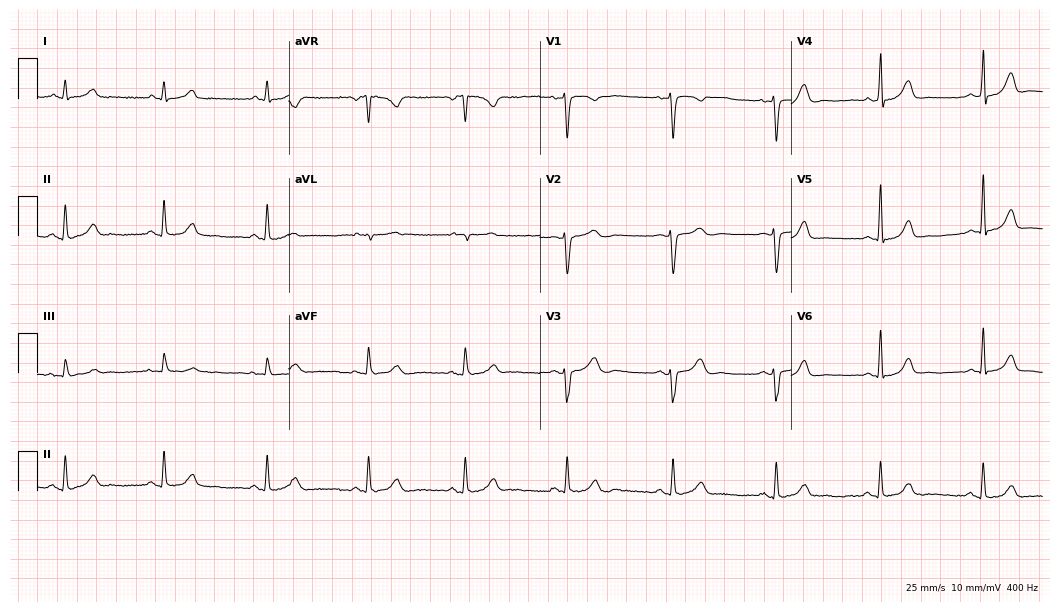
ECG — a female patient, 38 years old. Screened for six findings — first-degree AV block, right bundle branch block, left bundle branch block, sinus bradycardia, atrial fibrillation, sinus tachycardia — none is recorded.